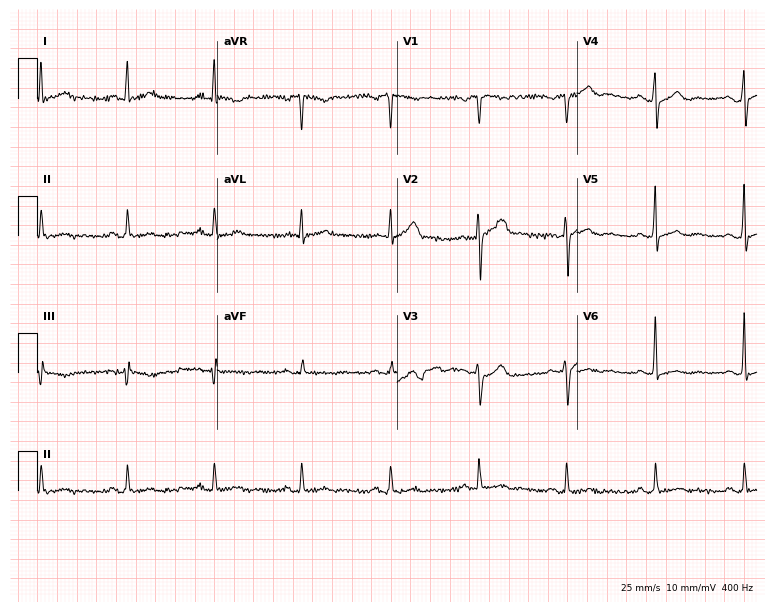
Resting 12-lead electrocardiogram (7.3-second recording at 400 Hz). Patient: a male, 49 years old. None of these six findings is recorded: first-degree AV block, right bundle branch block, left bundle branch block, sinus bradycardia, atrial fibrillation, sinus tachycardia. Only these six findings were labelled.